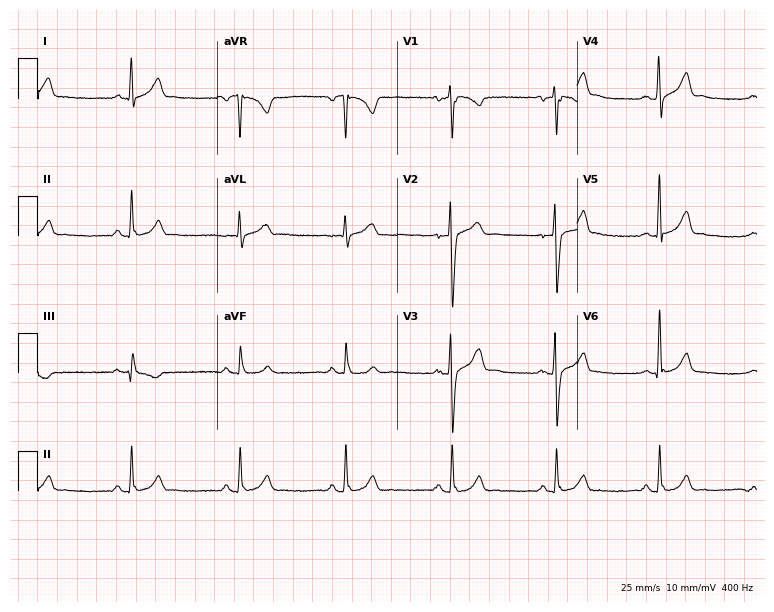
Standard 12-lead ECG recorded from a male patient, 31 years old (7.3-second recording at 400 Hz). Read as a normal ECG.